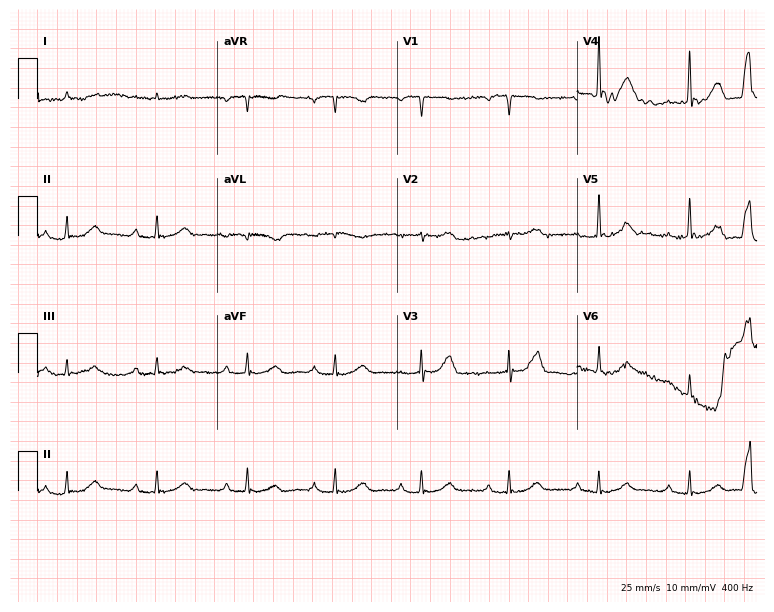
Standard 12-lead ECG recorded from a 74-year-old male patient. The tracing shows first-degree AV block.